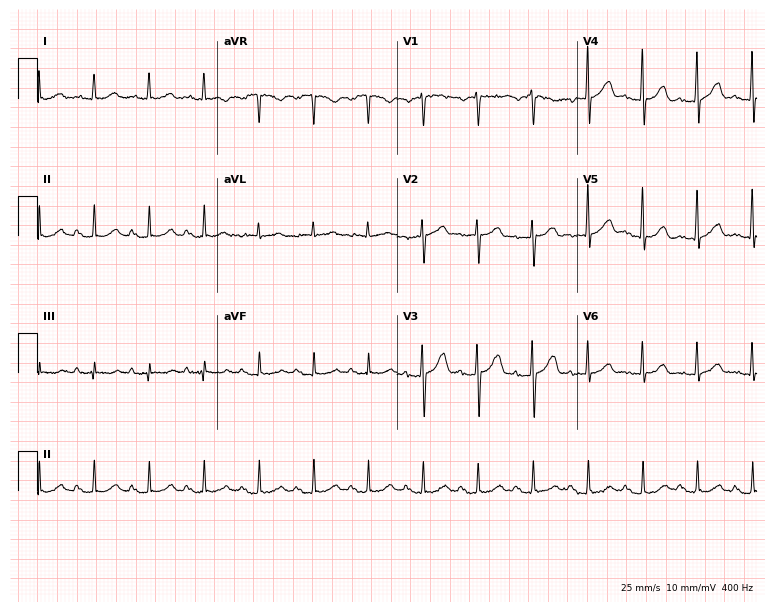
Resting 12-lead electrocardiogram. Patient: a male, 76 years old. The tracing shows sinus tachycardia (a sinus rate of 100 beats per minute or more).